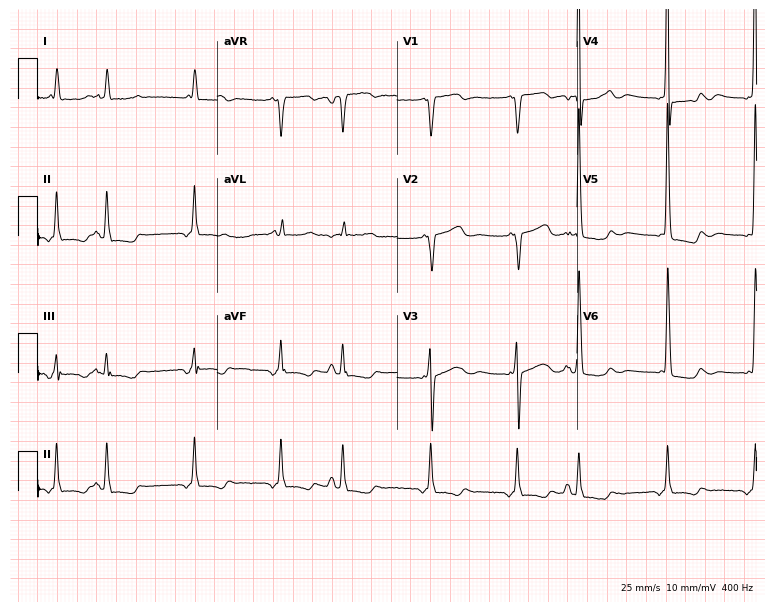
12-lead ECG (7.3-second recording at 400 Hz) from a female, 75 years old. Screened for six findings — first-degree AV block, right bundle branch block, left bundle branch block, sinus bradycardia, atrial fibrillation, sinus tachycardia — none is recorded.